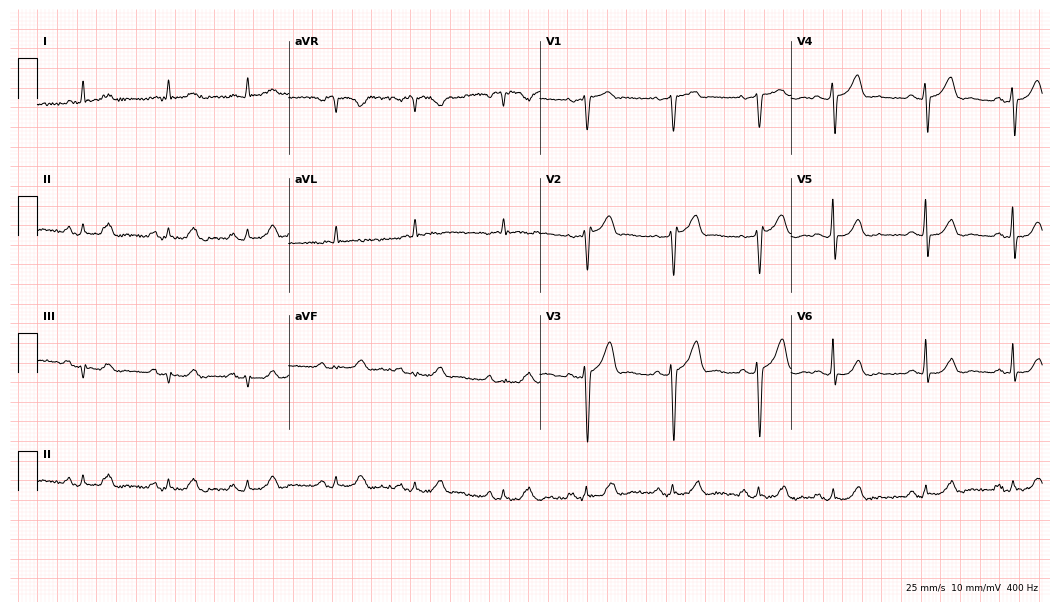
Standard 12-lead ECG recorded from a male patient, 77 years old. None of these six findings is recorded: first-degree AV block, right bundle branch block (RBBB), left bundle branch block (LBBB), sinus bradycardia, atrial fibrillation (AF), sinus tachycardia.